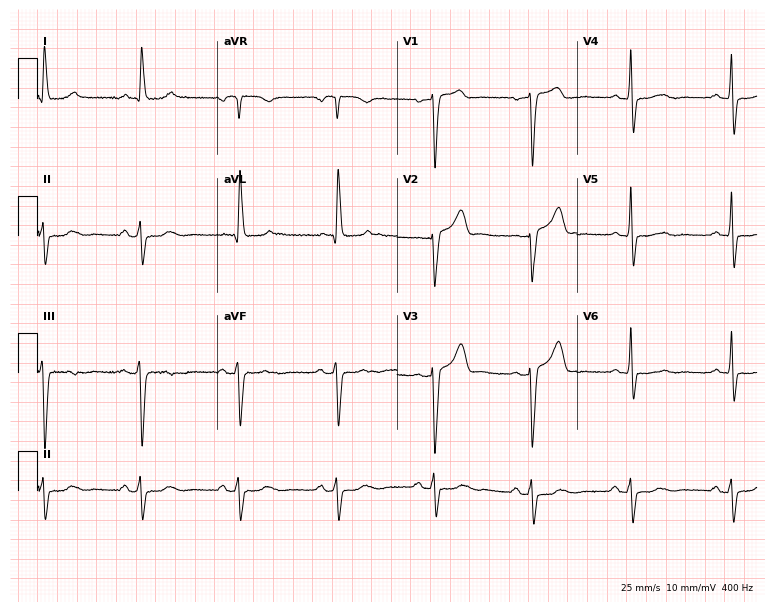
Resting 12-lead electrocardiogram. Patient: a 60-year-old woman. None of these six findings is recorded: first-degree AV block, right bundle branch block, left bundle branch block, sinus bradycardia, atrial fibrillation, sinus tachycardia. Other findings, if any, are not listed.